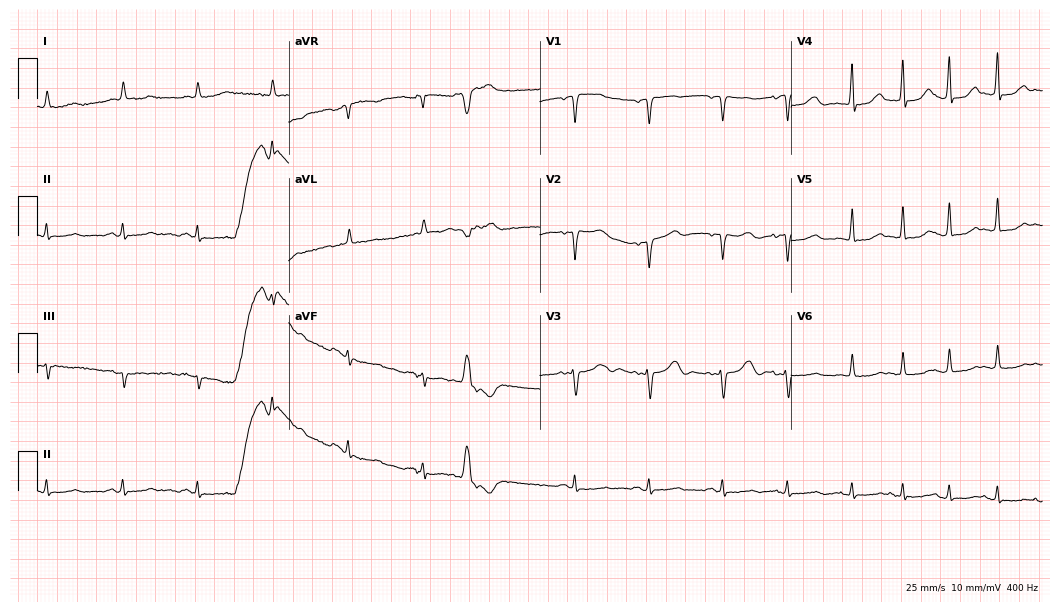
Standard 12-lead ECG recorded from an 83-year-old female (10.2-second recording at 400 Hz). None of these six findings is recorded: first-degree AV block, right bundle branch block, left bundle branch block, sinus bradycardia, atrial fibrillation, sinus tachycardia.